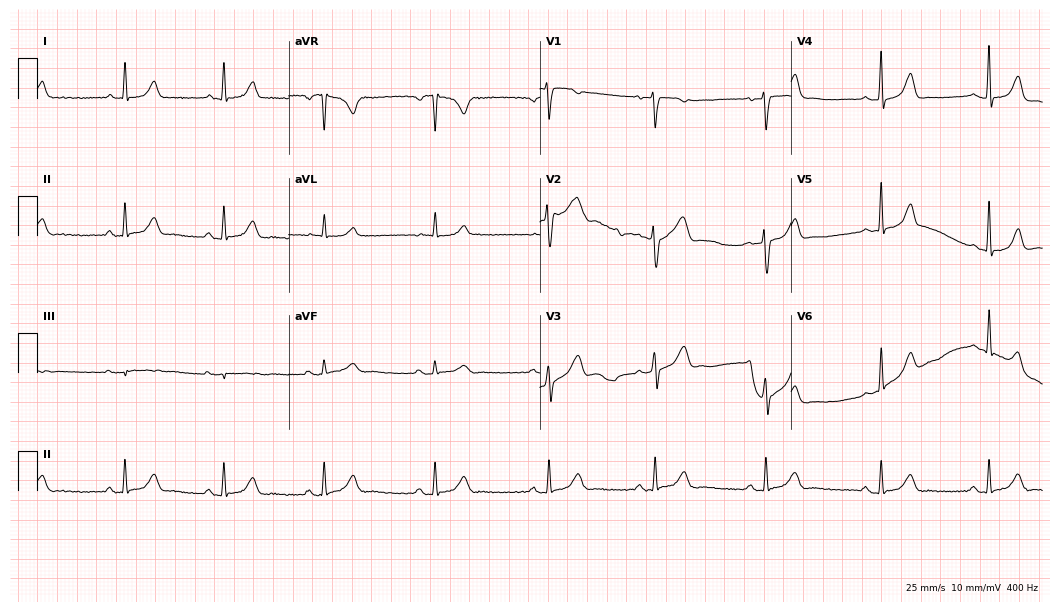
Electrocardiogram, a 49-year-old female. Of the six screened findings (first-degree AV block, right bundle branch block (RBBB), left bundle branch block (LBBB), sinus bradycardia, atrial fibrillation (AF), sinus tachycardia), none is recorded. Other findings, if any, are not listed.